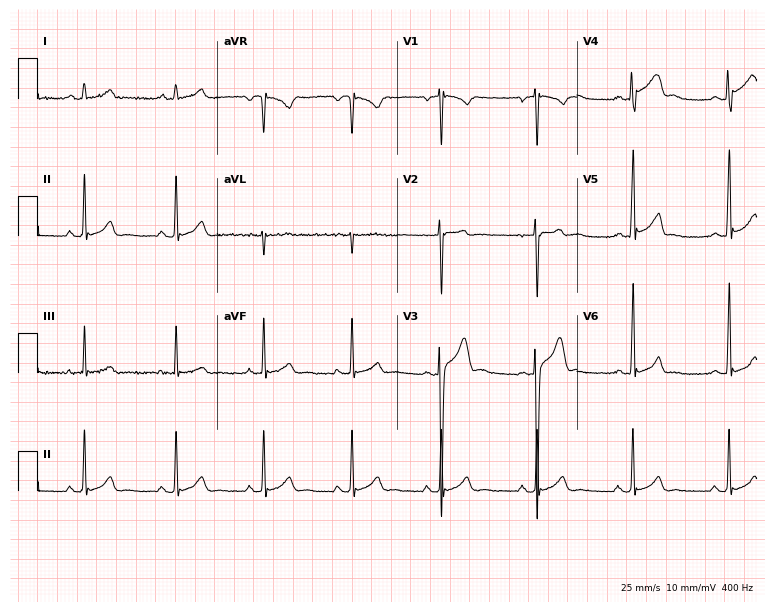
12-lead ECG (7.3-second recording at 400 Hz) from a 17-year-old male. Labelled as a normal ECG.